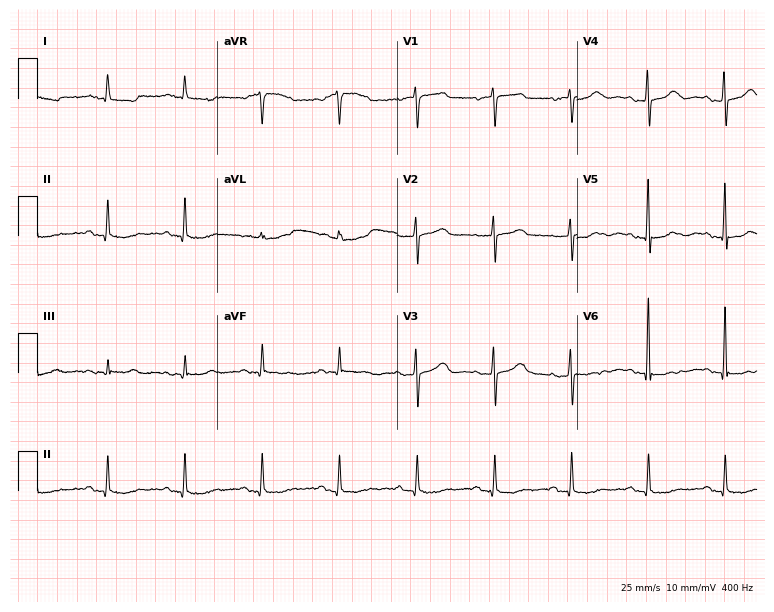
12-lead ECG (7.3-second recording at 400 Hz) from a 76-year-old female. Labelled as a normal ECG.